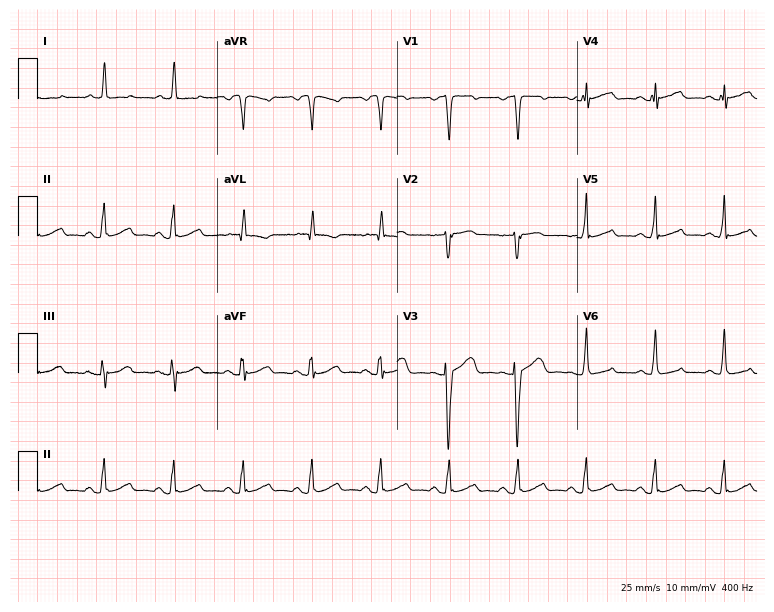
ECG — a 72-year-old female. Labelled as a normal ECG.